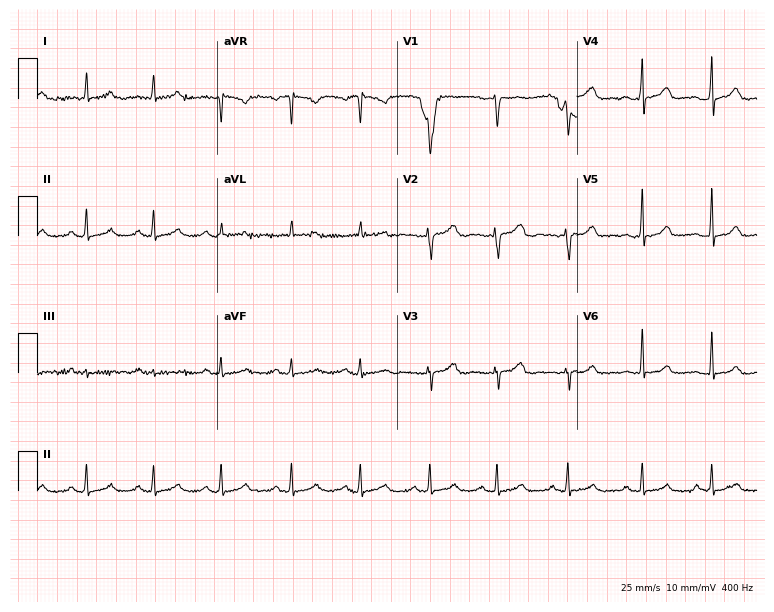
12-lead ECG from a woman, 33 years old (7.3-second recording at 400 Hz). No first-degree AV block, right bundle branch block (RBBB), left bundle branch block (LBBB), sinus bradycardia, atrial fibrillation (AF) or sinus tachycardia recorded for this tracing. Findings outside these six are not listed.